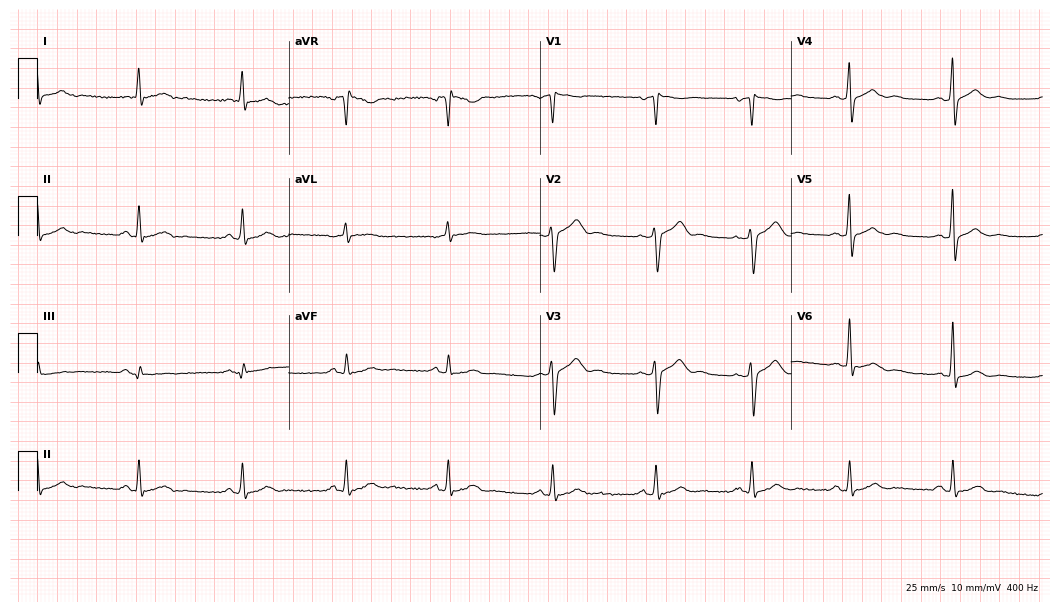
12-lead ECG (10.2-second recording at 400 Hz) from a 46-year-old man. Labelled as a normal ECG.